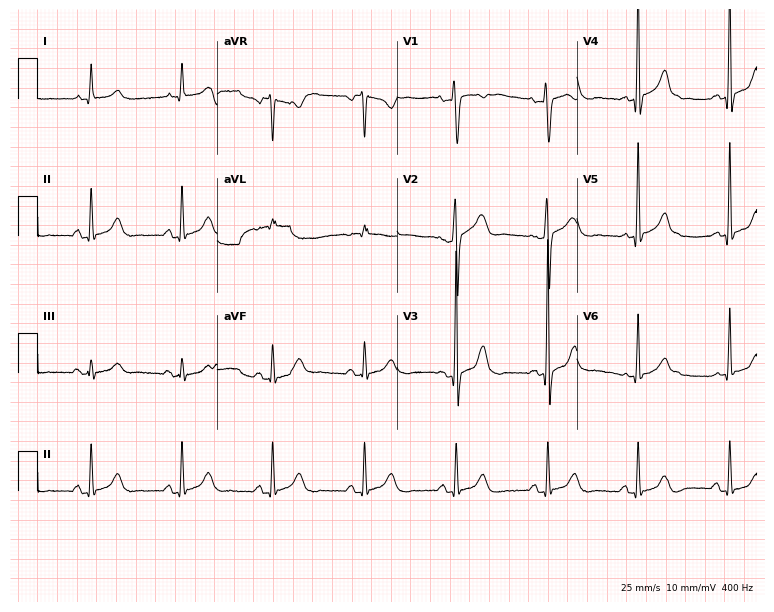
12-lead ECG (7.3-second recording at 400 Hz) from a 75-year-old woman. Screened for six findings — first-degree AV block, right bundle branch block, left bundle branch block, sinus bradycardia, atrial fibrillation, sinus tachycardia — none is recorded.